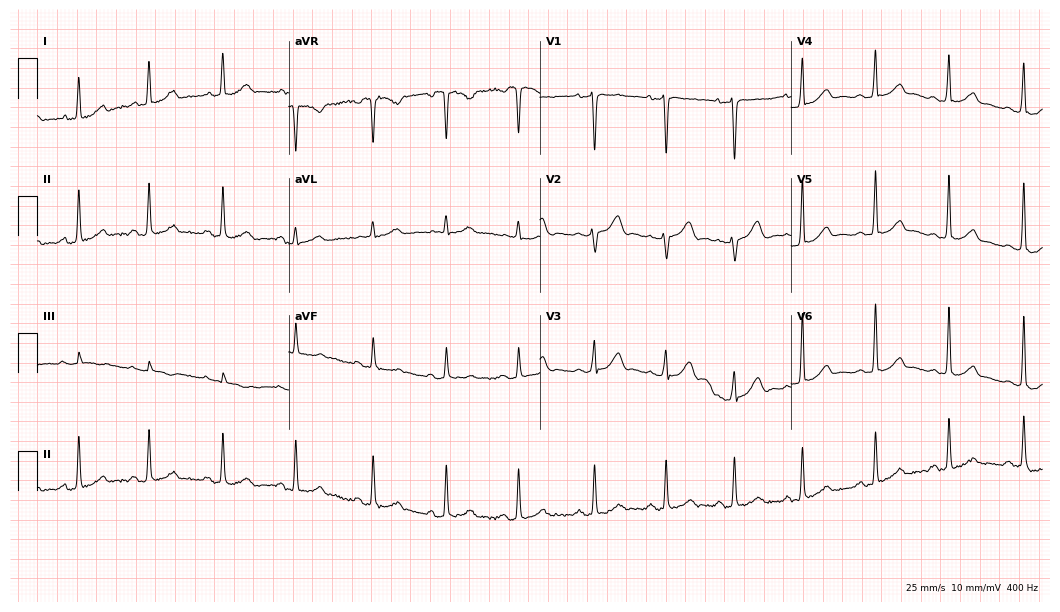
Standard 12-lead ECG recorded from a 30-year-old woman (10.2-second recording at 400 Hz). Read as a normal ECG.